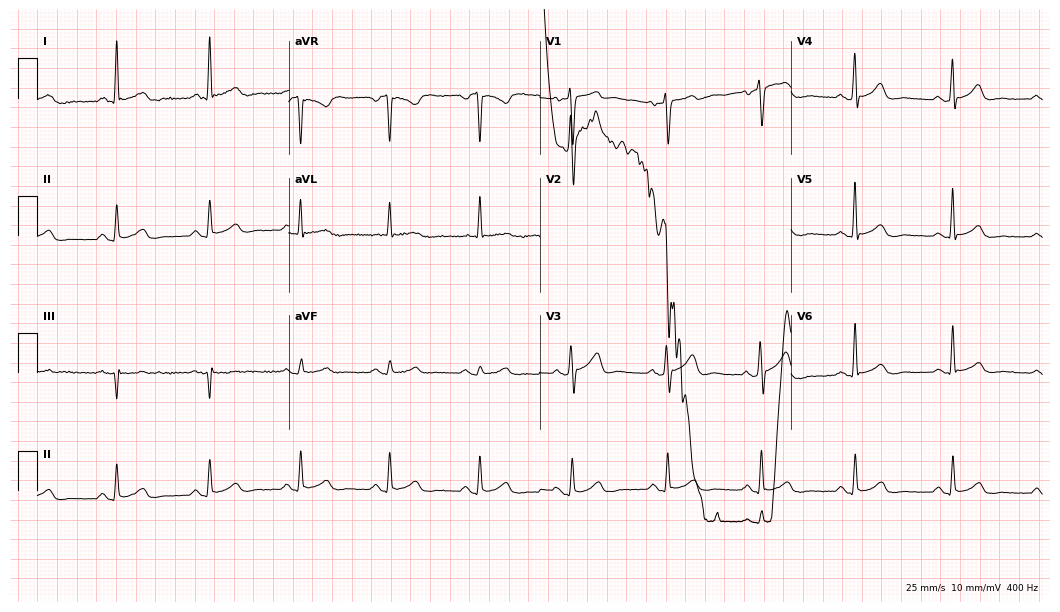
Electrocardiogram, a 60-year-old man. Overall reading on record: normal ECG.